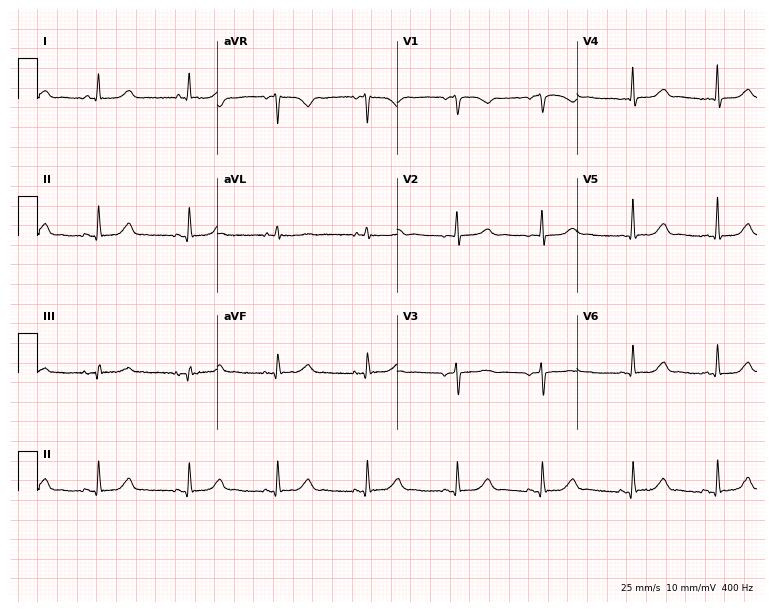
Electrocardiogram (7.3-second recording at 400 Hz), a female, 76 years old. Overall reading on record: normal ECG.